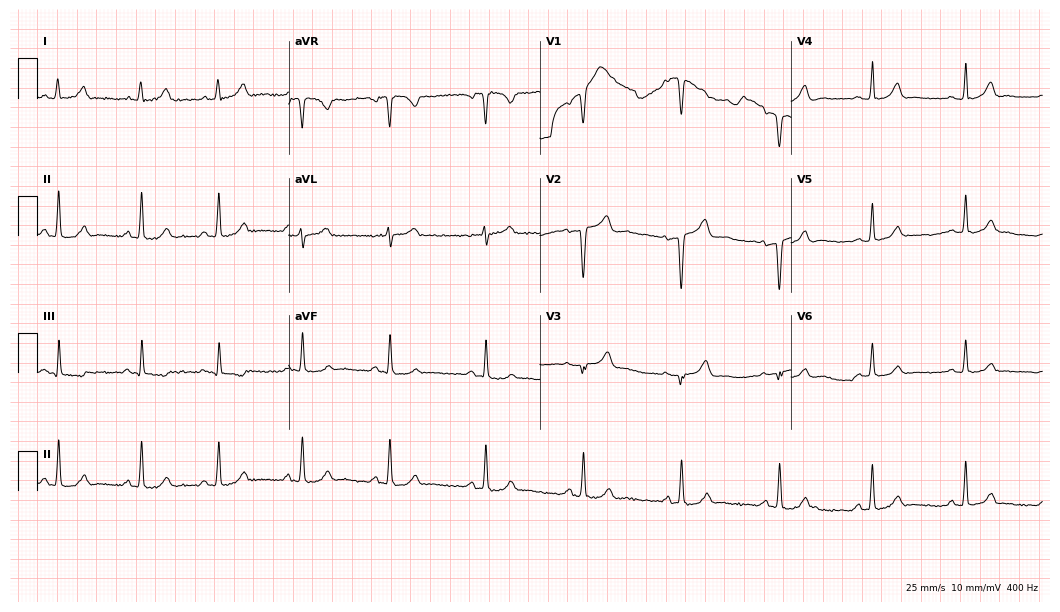
12-lead ECG (10.2-second recording at 400 Hz) from a woman, 41 years old. Screened for six findings — first-degree AV block, right bundle branch block, left bundle branch block, sinus bradycardia, atrial fibrillation, sinus tachycardia — none is recorded.